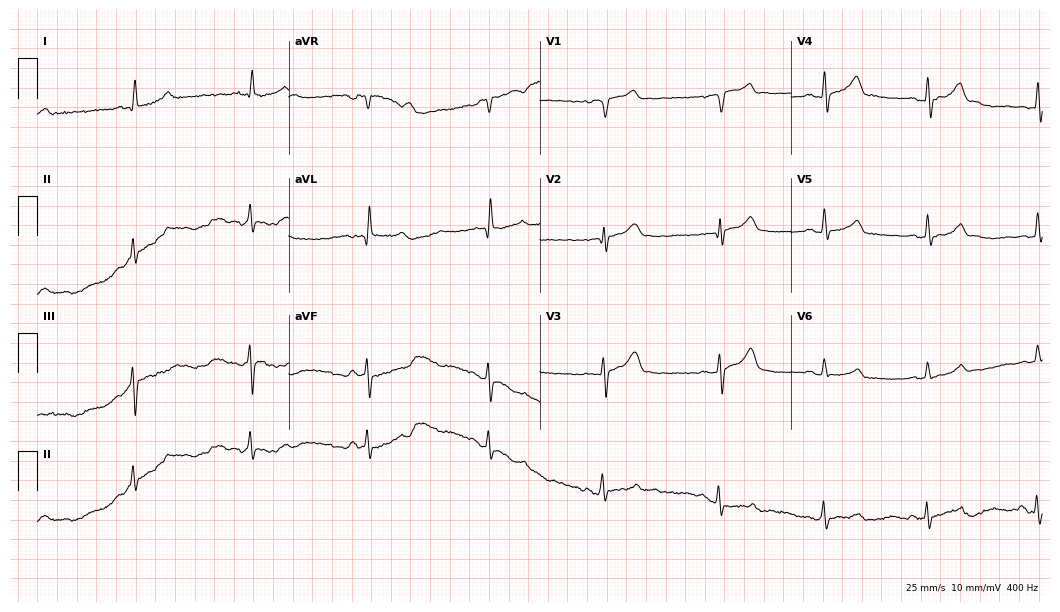
12-lead ECG from a male patient, 48 years old (10.2-second recording at 400 Hz). No first-degree AV block, right bundle branch block, left bundle branch block, sinus bradycardia, atrial fibrillation or sinus tachycardia recorded for this tracing.